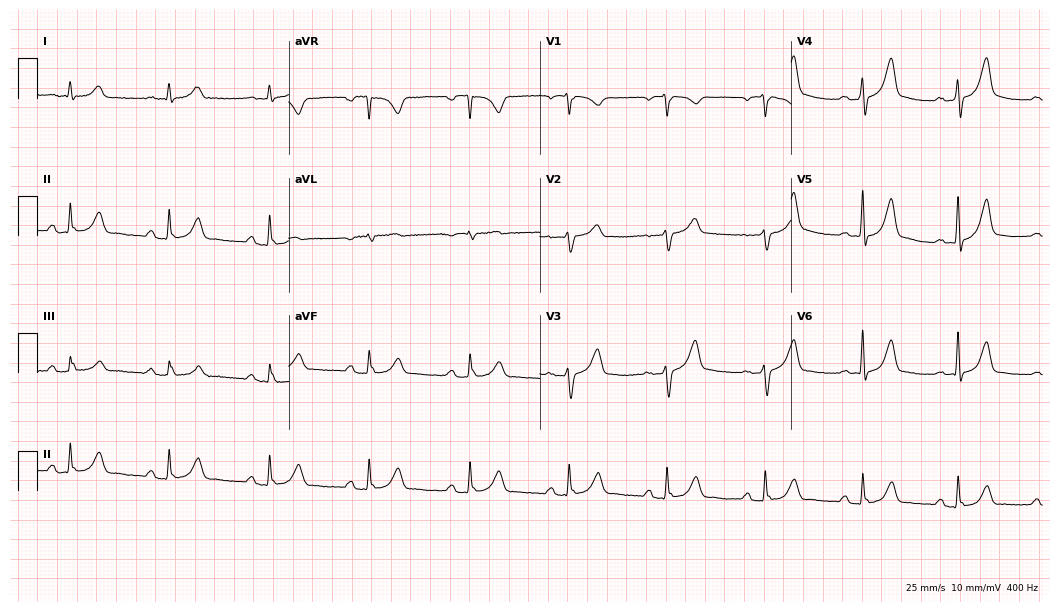
Resting 12-lead electrocardiogram. Patient: a 71-year-old male. Read as a normal ECG.